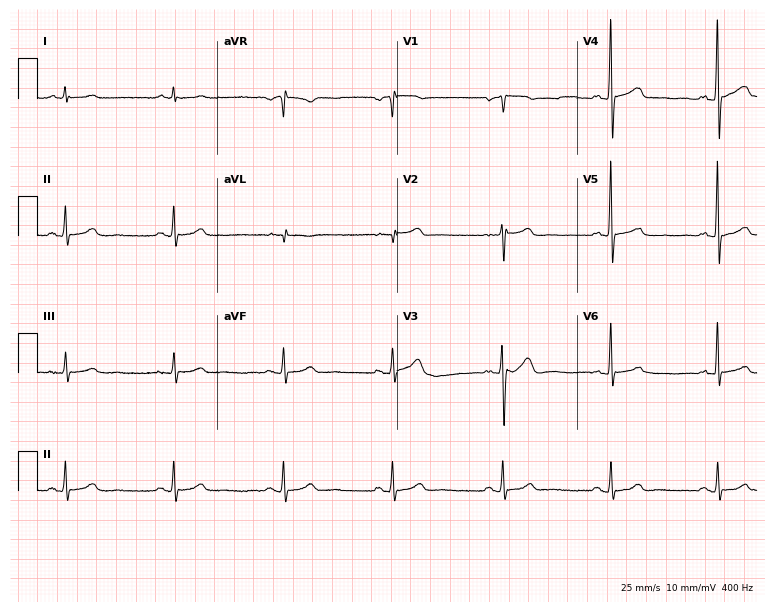
Electrocardiogram, a male, 65 years old. Overall reading on record: normal ECG.